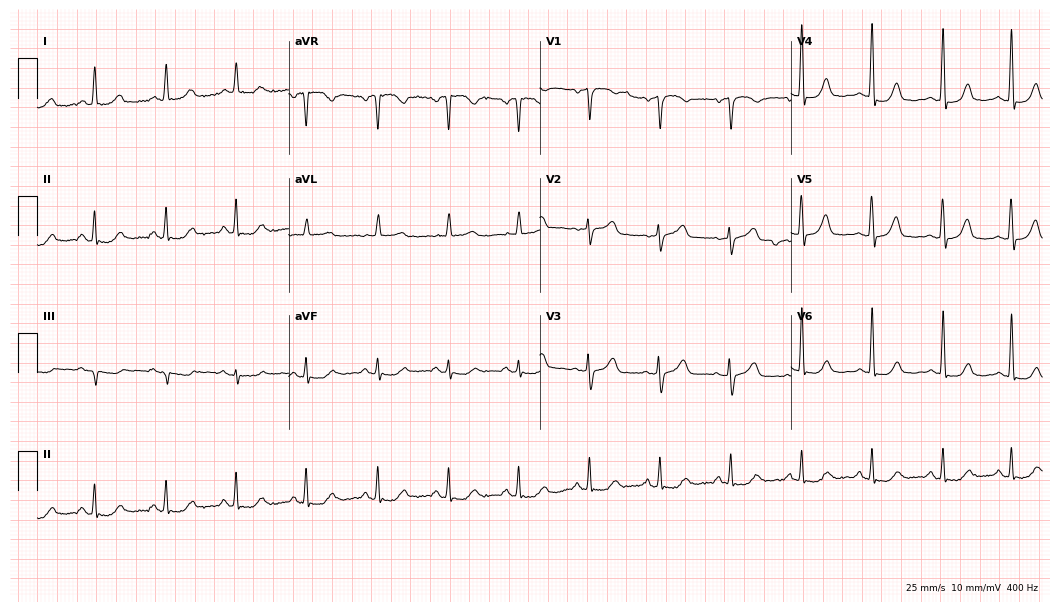
12-lead ECG from a 73-year-old female patient. Recorded interpretation: within normal limits.